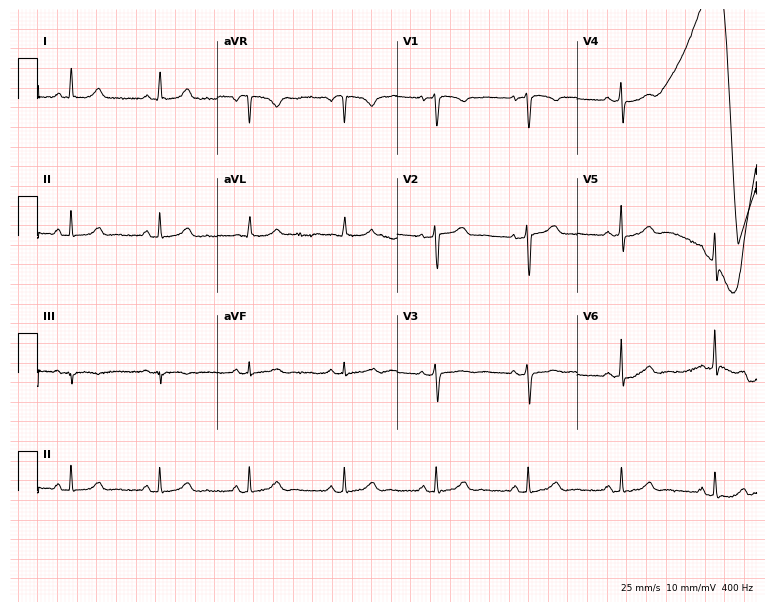
12-lead ECG (7.3-second recording at 400 Hz) from a 47-year-old woman. Labelled as a normal ECG.